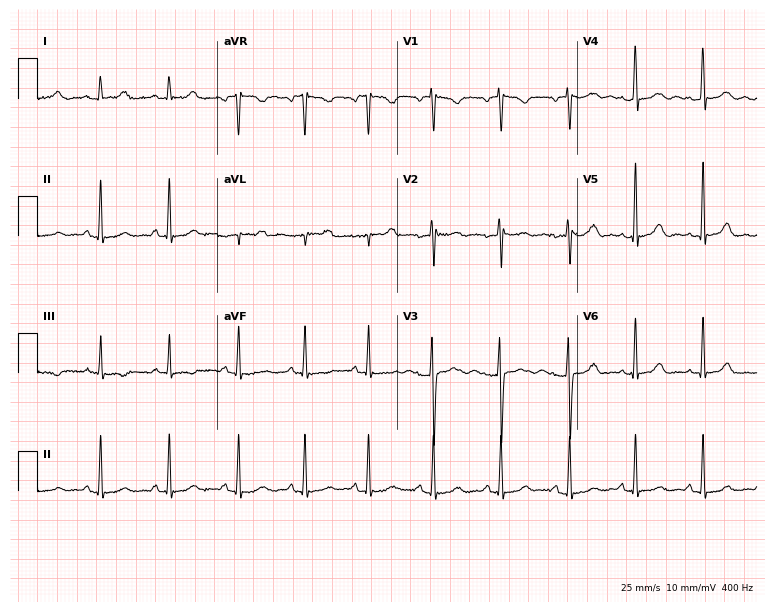
ECG — a female patient, 21 years old. Labelled as a normal ECG.